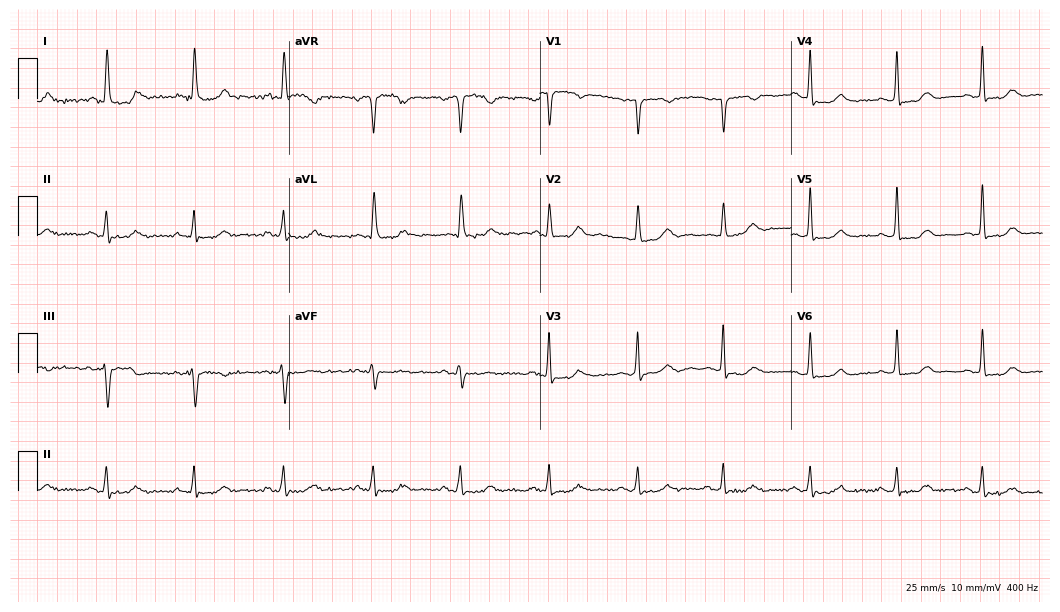
12-lead ECG (10.2-second recording at 400 Hz) from an 82-year-old woman. Screened for six findings — first-degree AV block, right bundle branch block, left bundle branch block, sinus bradycardia, atrial fibrillation, sinus tachycardia — none is recorded.